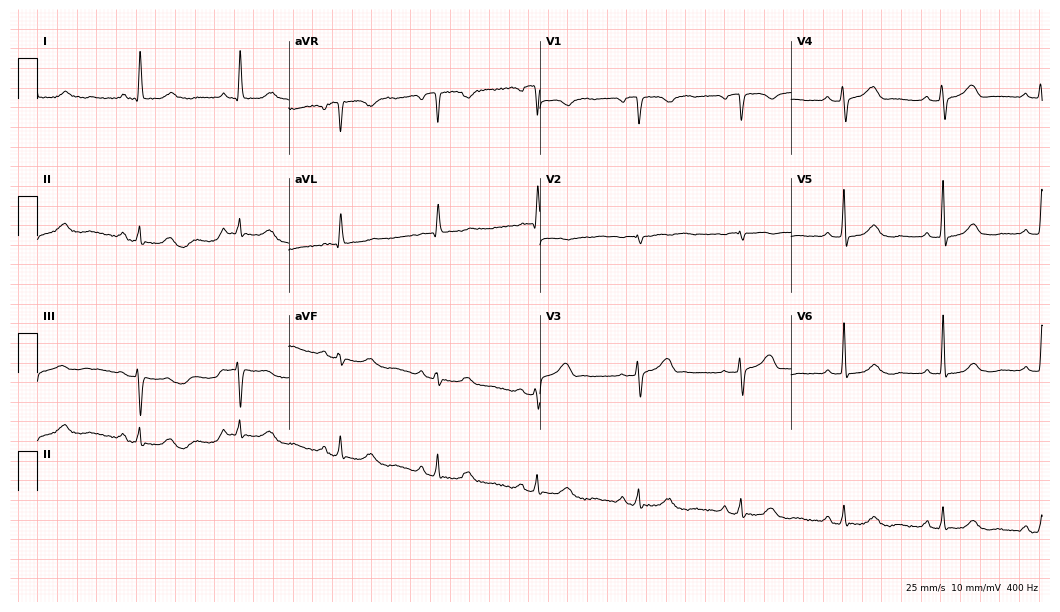
Standard 12-lead ECG recorded from a female, 74 years old (10.2-second recording at 400 Hz). Read as a normal ECG.